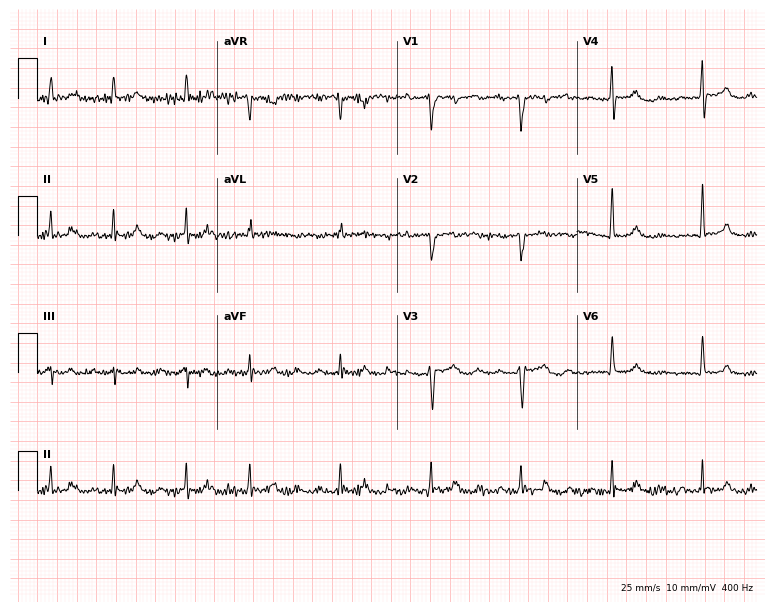
Standard 12-lead ECG recorded from a male, 81 years old. None of these six findings is recorded: first-degree AV block, right bundle branch block (RBBB), left bundle branch block (LBBB), sinus bradycardia, atrial fibrillation (AF), sinus tachycardia. Only these six findings were labelled.